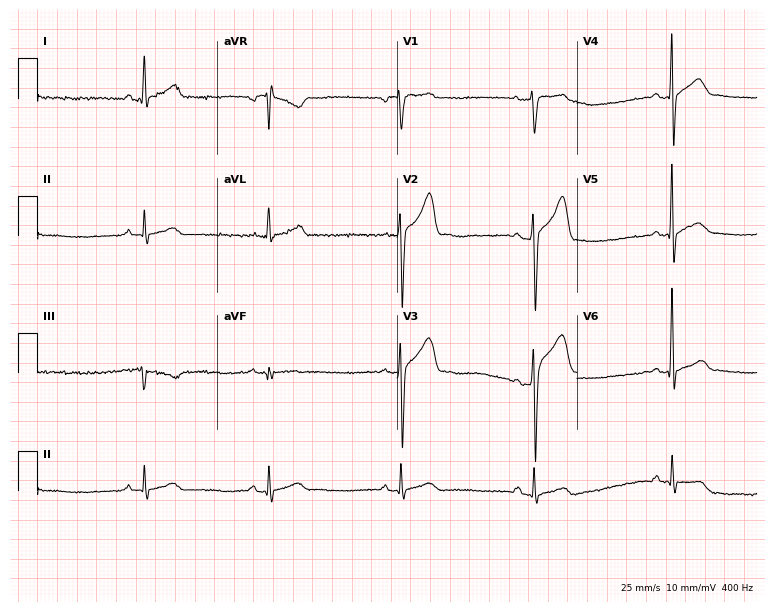
Electrocardiogram, a male, 32 years old. Interpretation includes sinus bradycardia (a sinus rate of 50 beats per minute or less).